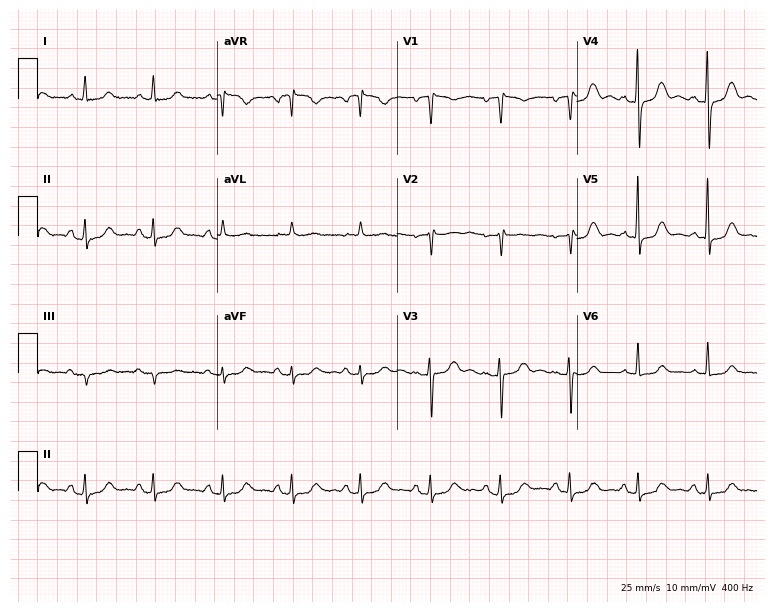
Standard 12-lead ECG recorded from a 76-year-old female patient (7.3-second recording at 400 Hz). Read as a normal ECG.